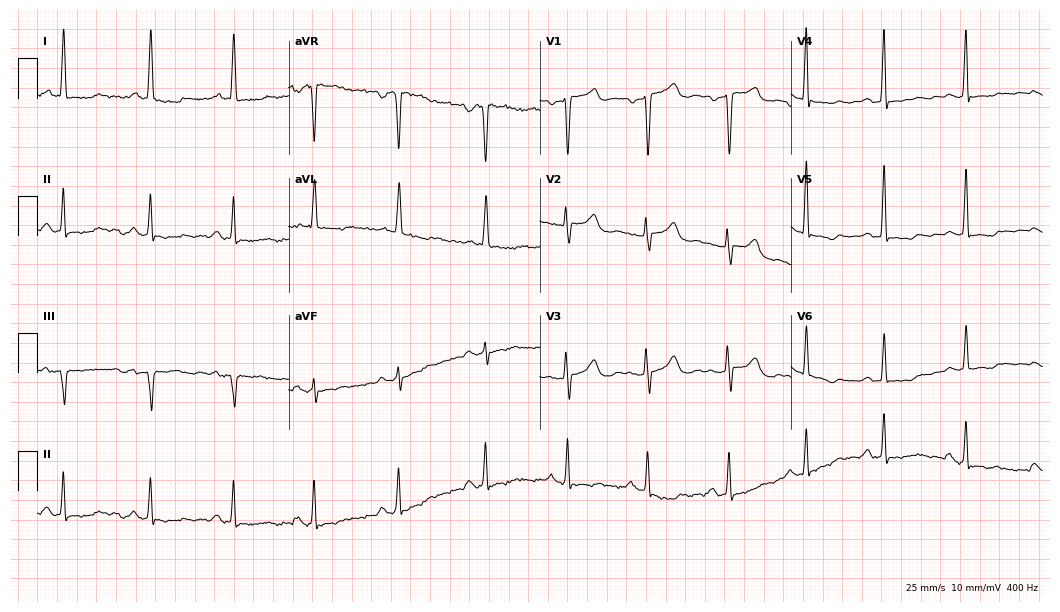
ECG (10.2-second recording at 400 Hz) — a 57-year-old woman. Screened for six findings — first-degree AV block, right bundle branch block (RBBB), left bundle branch block (LBBB), sinus bradycardia, atrial fibrillation (AF), sinus tachycardia — none is recorded.